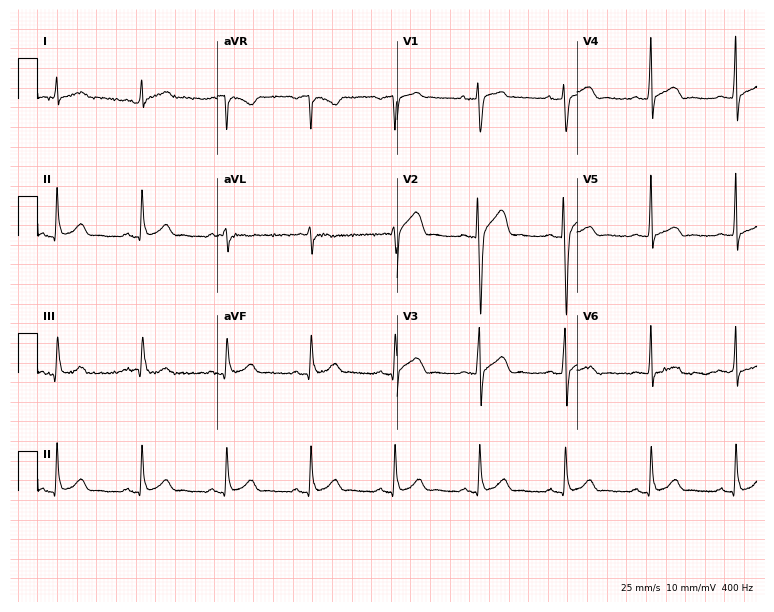
ECG — a 44-year-old male patient. Screened for six findings — first-degree AV block, right bundle branch block (RBBB), left bundle branch block (LBBB), sinus bradycardia, atrial fibrillation (AF), sinus tachycardia — none is recorded.